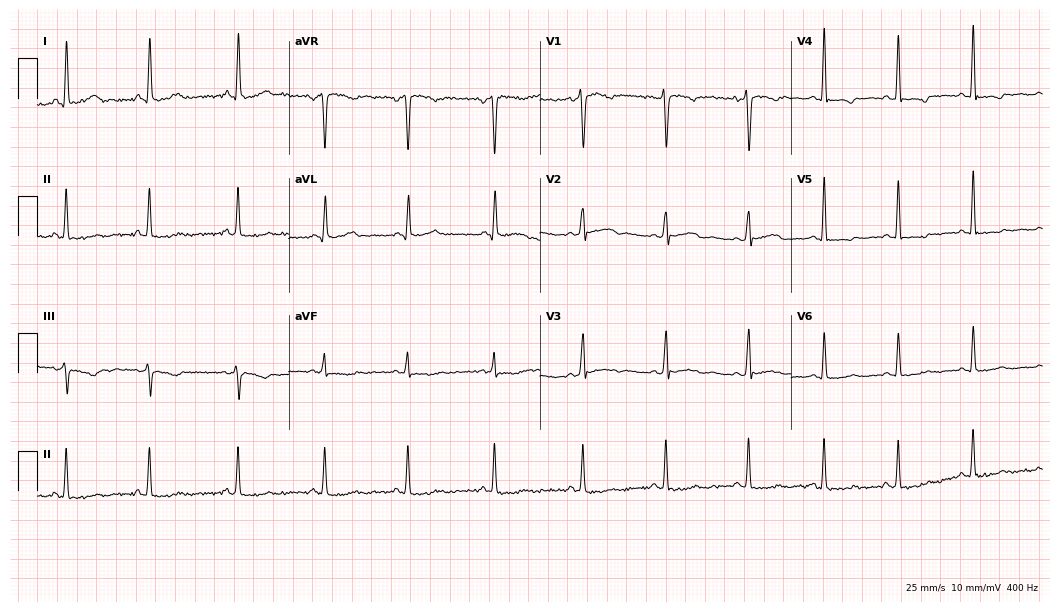
12-lead ECG from a female, 37 years old. Screened for six findings — first-degree AV block, right bundle branch block, left bundle branch block, sinus bradycardia, atrial fibrillation, sinus tachycardia — none is recorded. Only these six findings were labelled.